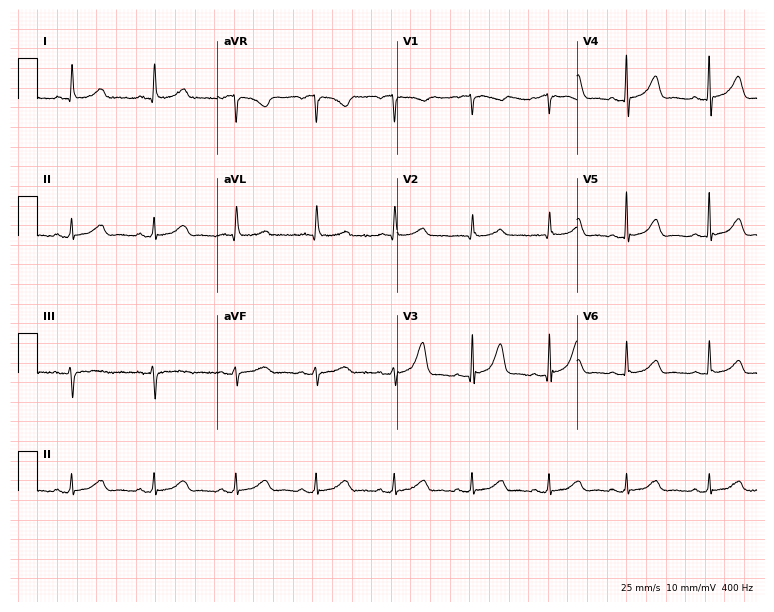
12-lead ECG from a female, 83 years old (7.3-second recording at 400 Hz). Recorded interpretation: within normal limits.